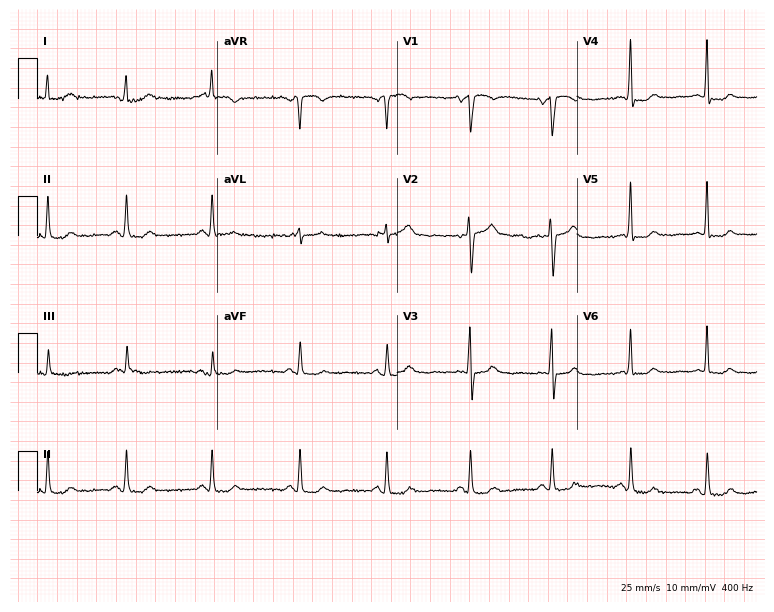
Standard 12-lead ECG recorded from a woman, 64 years old (7.3-second recording at 400 Hz). None of these six findings is recorded: first-degree AV block, right bundle branch block (RBBB), left bundle branch block (LBBB), sinus bradycardia, atrial fibrillation (AF), sinus tachycardia.